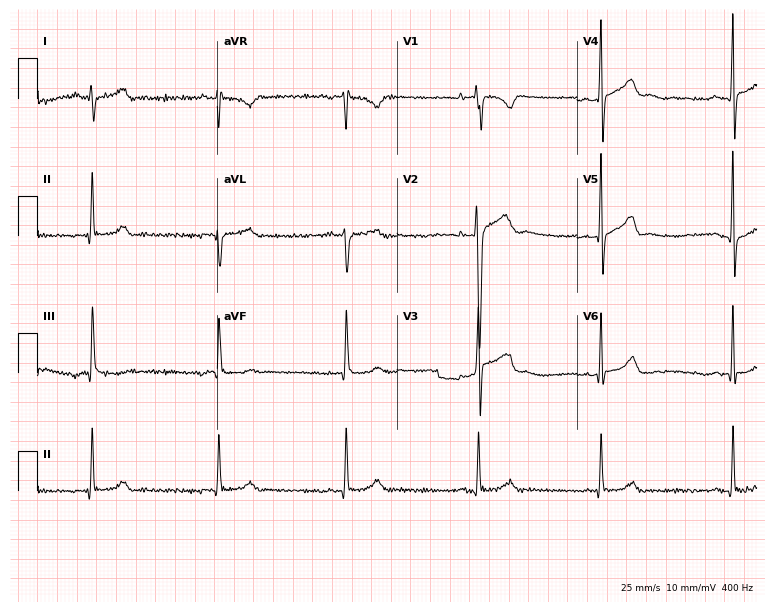
Resting 12-lead electrocardiogram. Patient: a 17-year-old male. None of these six findings is recorded: first-degree AV block, right bundle branch block (RBBB), left bundle branch block (LBBB), sinus bradycardia, atrial fibrillation (AF), sinus tachycardia.